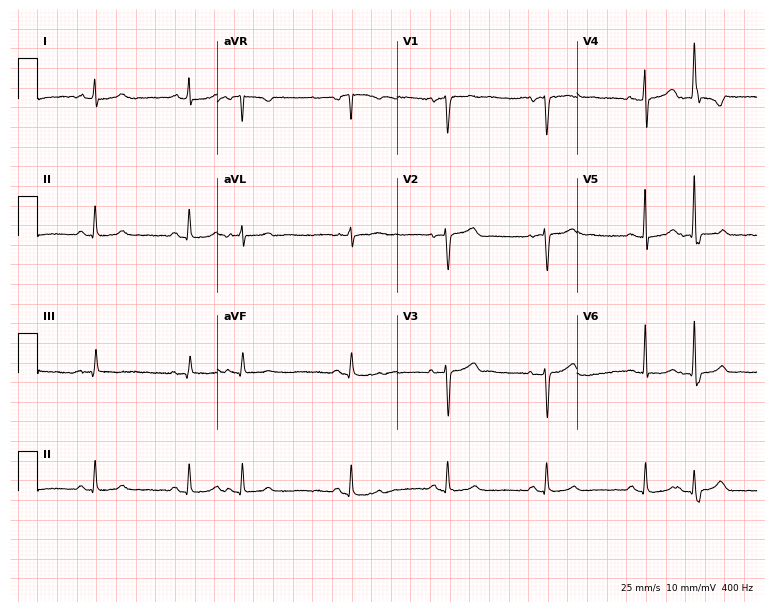
Standard 12-lead ECG recorded from a 50-year-old male patient (7.3-second recording at 400 Hz). None of these six findings is recorded: first-degree AV block, right bundle branch block (RBBB), left bundle branch block (LBBB), sinus bradycardia, atrial fibrillation (AF), sinus tachycardia.